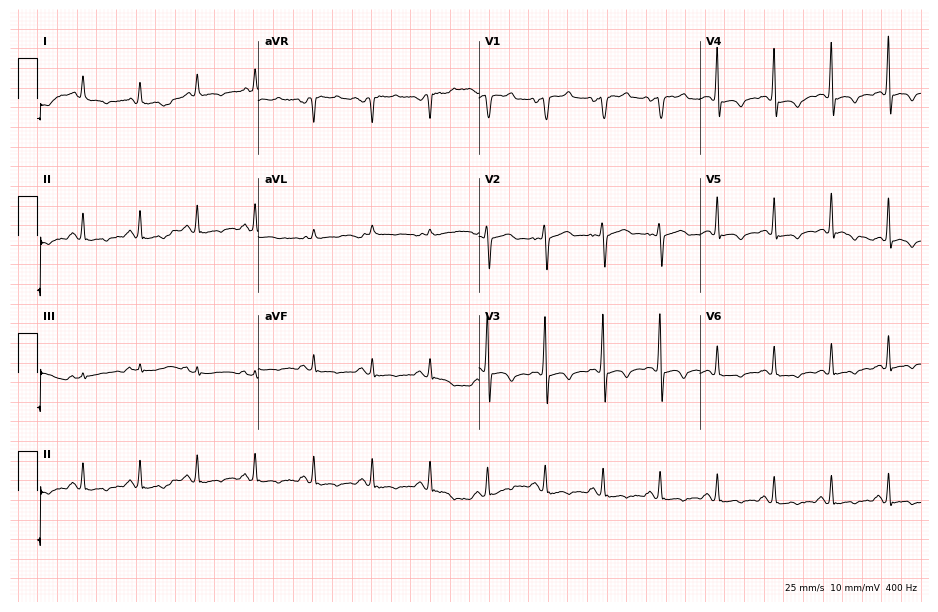
12-lead ECG from a male patient, 51 years old. Screened for six findings — first-degree AV block, right bundle branch block, left bundle branch block, sinus bradycardia, atrial fibrillation, sinus tachycardia — none is recorded. Findings outside these six are not listed.